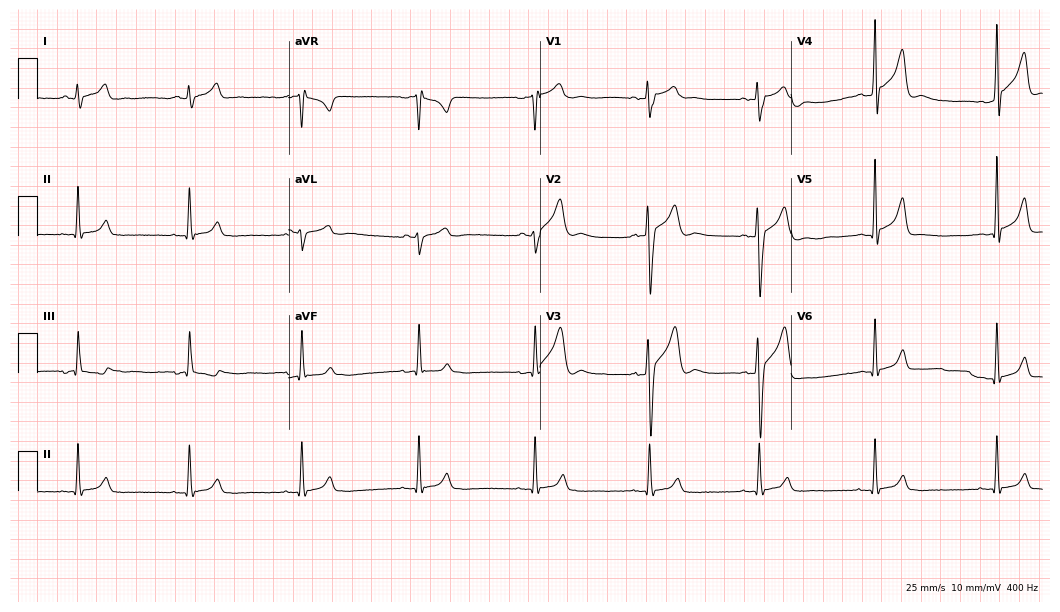
12-lead ECG from a 19-year-old male patient. Recorded interpretation: within normal limits.